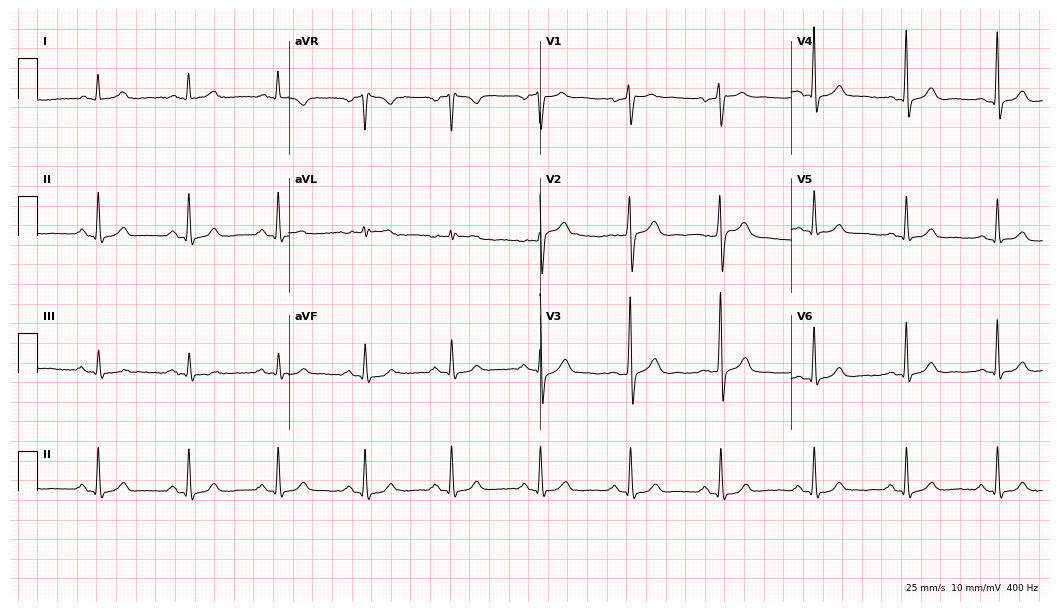
Electrocardiogram (10.2-second recording at 400 Hz), a 40-year-old man. Of the six screened findings (first-degree AV block, right bundle branch block, left bundle branch block, sinus bradycardia, atrial fibrillation, sinus tachycardia), none is recorded.